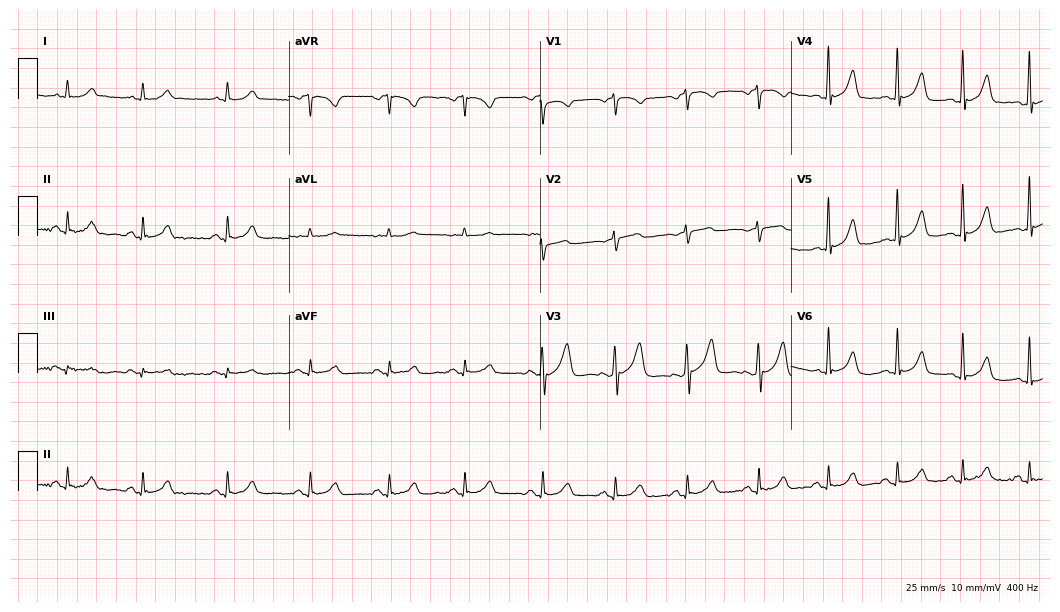
Standard 12-lead ECG recorded from a 51-year-old man (10.2-second recording at 400 Hz). Read as a normal ECG.